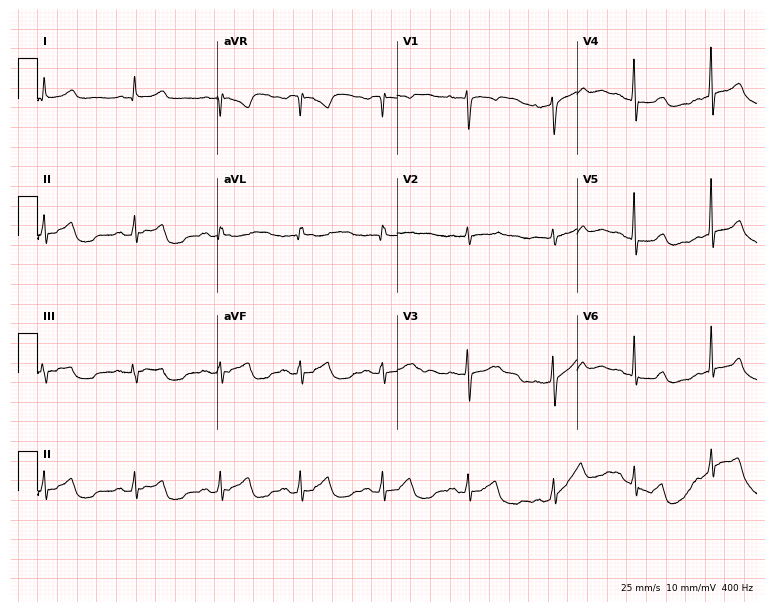
12-lead ECG from a 45-year-old woman. Labelled as a normal ECG.